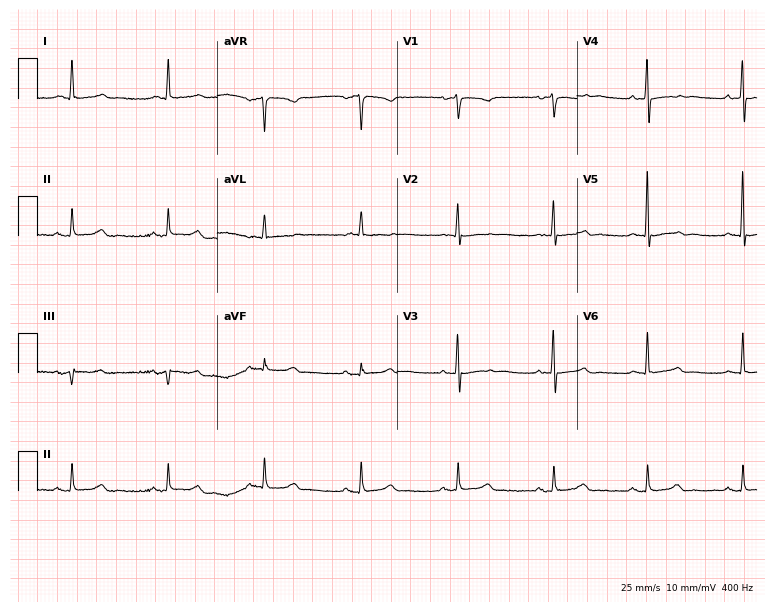
Electrocardiogram, an 85-year-old female. Of the six screened findings (first-degree AV block, right bundle branch block, left bundle branch block, sinus bradycardia, atrial fibrillation, sinus tachycardia), none is recorded. Only these six findings were labelled.